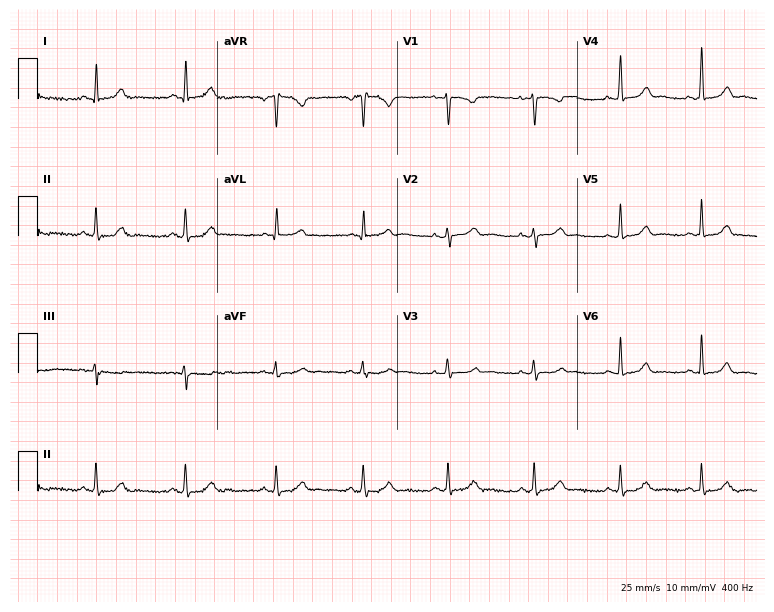
Resting 12-lead electrocardiogram. Patient: a 32-year-old female. Read as a normal ECG.